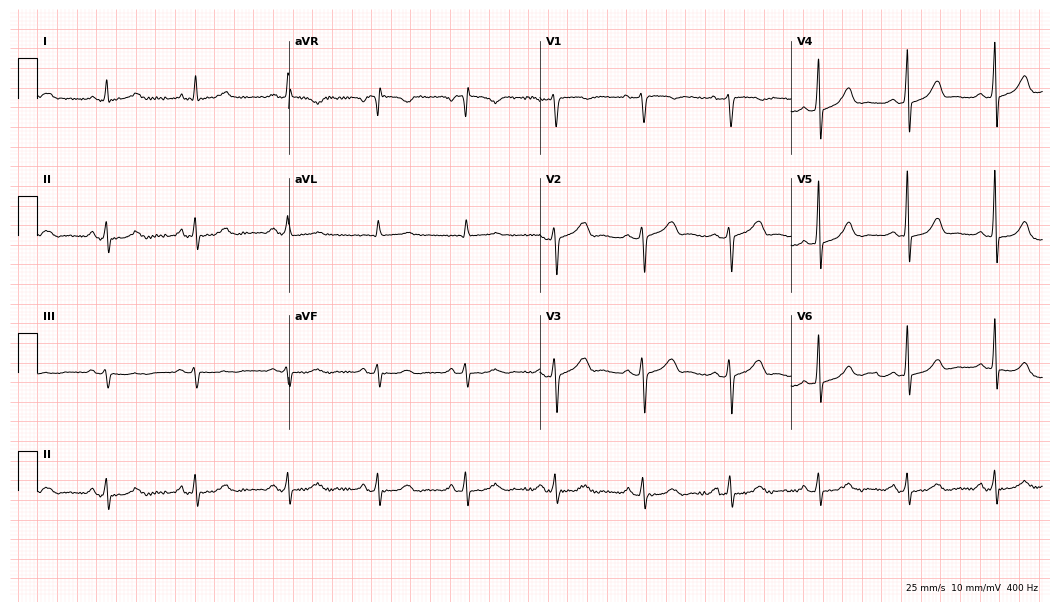
Electrocardiogram (10.2-second recording at 400 Hz), a female patient, 45 years old. Overall reading on record: normal ECG.